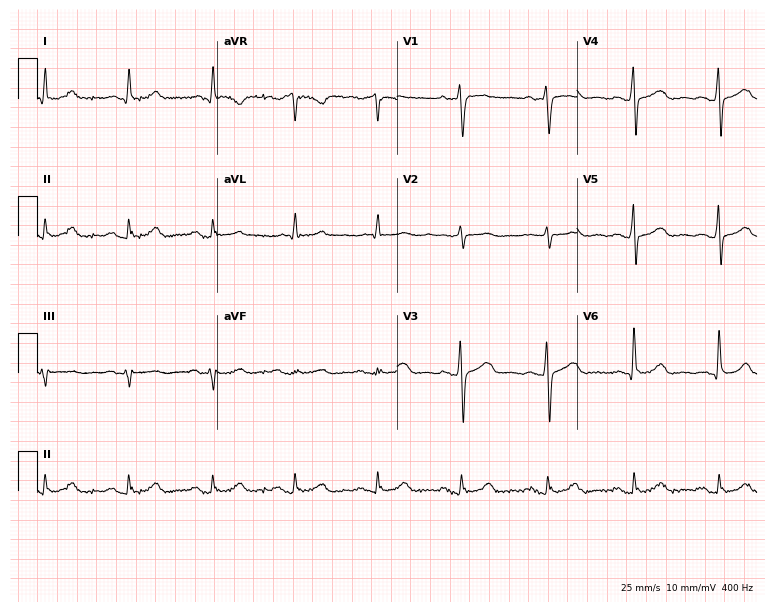
Resting 12-lead electrocardiogram. Patient: a male, 58 years old. Read as a normal ECG.